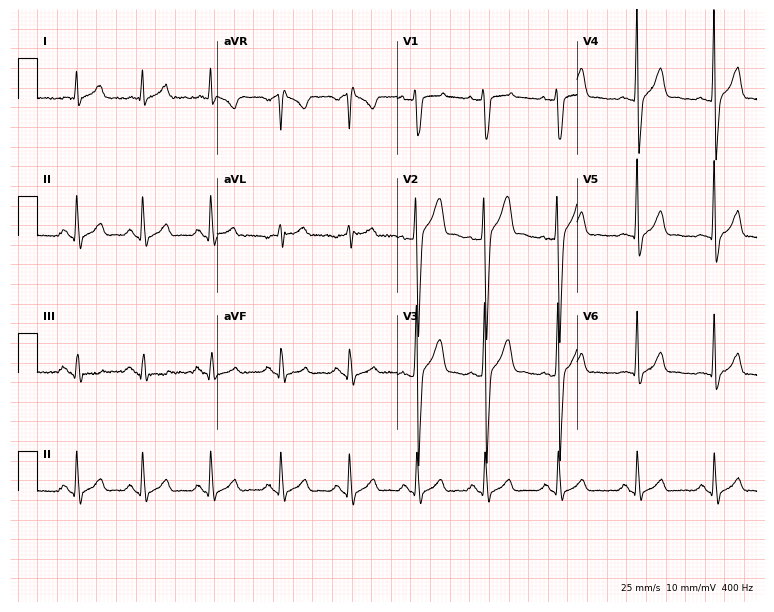
12-lead ECG from a 29-year-old male patient. Labelled as a normal ECG.